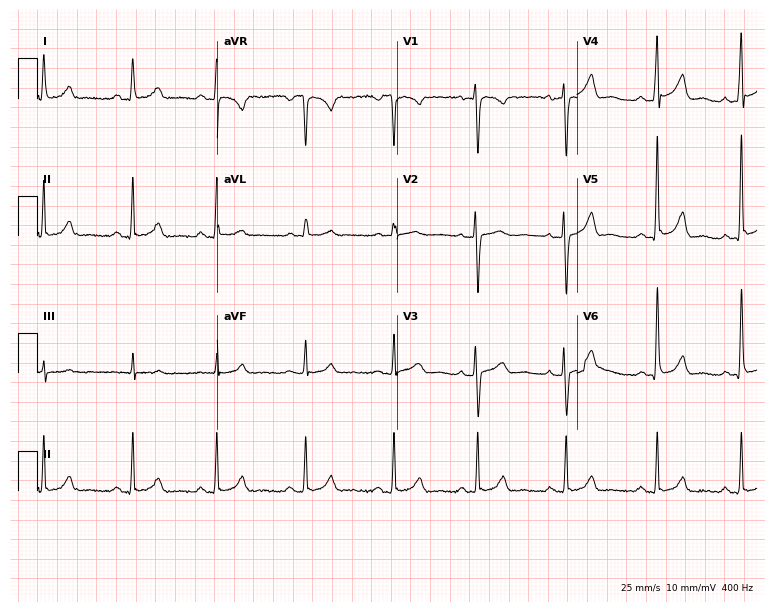
Electrocardiogram, a female patient, 43 years old. Overall reading on record: normal ECG.